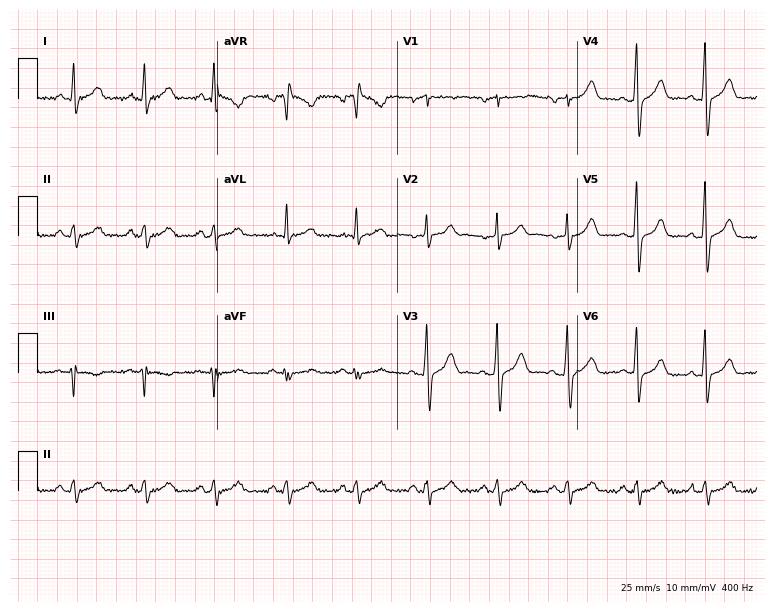
12-lead ECG from a male, 45 years old. No first-degree AV block, right bundle branch block (RBBB), left bundle branch block (LBBB), sinus bradycardia, atrial fibrillation (AF) or sinus tachycardia recorded for this tracing.